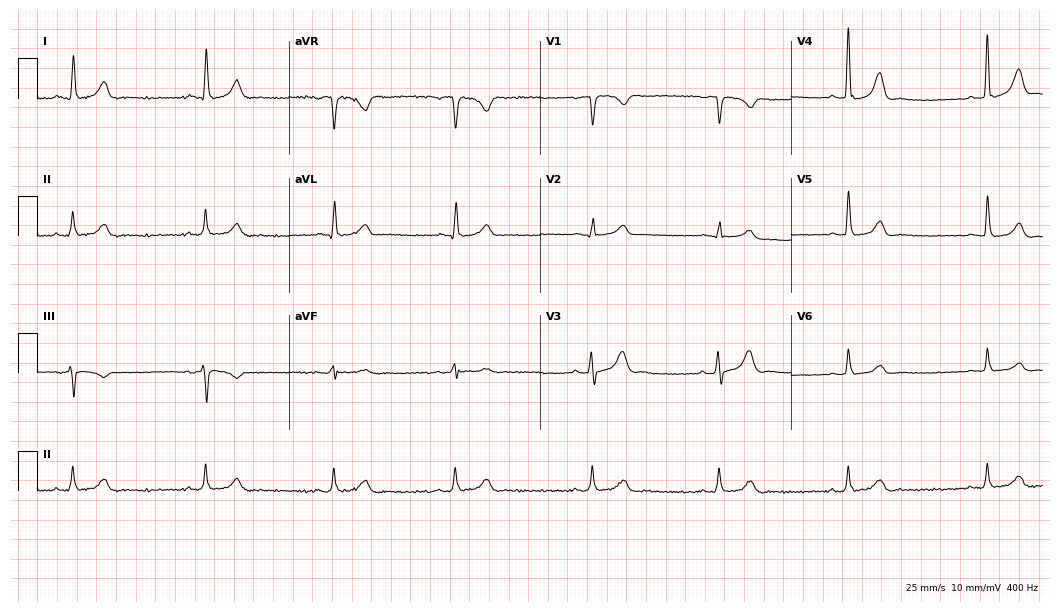
Standard 12-lead ECG recorded from a male, 63 years old (10.2-second recording at 400 Hz). The tracing shows sinus bradycardia (a sinus rate of 50 beats per minute or less).